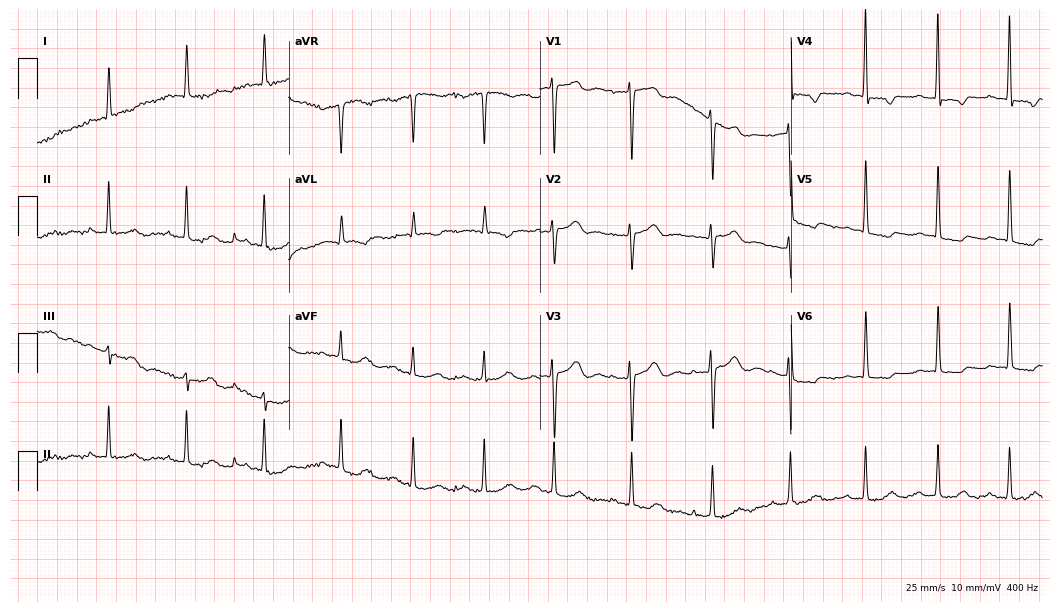
Resting 12-lead electrocardiogram (10.2-second recording at 400 Hz). Patient: an 81-year-old female. None of these six findings is recorded: first-degree AV block, right bundle branch block, left bundle branch block, sinus bradycardia, atrial fibrillation, sinus tachycardia. Only these six findings were labelled.